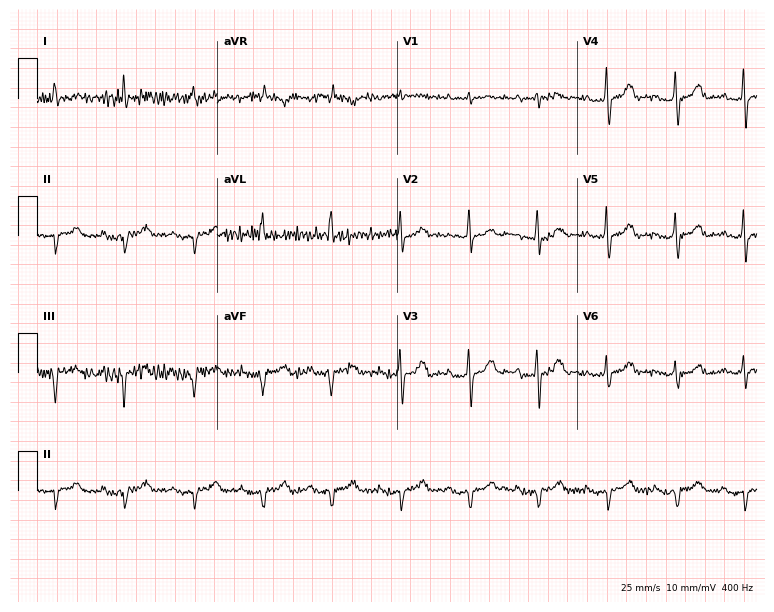
ECG (7.3-second recording at 400 Hz) — an 82-year-old female patient. Screened for six findings — first-degree AV block, right bundle branch block (RBBB), left bundle branch block (LBBB), sinus bradycardia, atrial fibrillation (AF), sinus tachycardia — none is recorded.